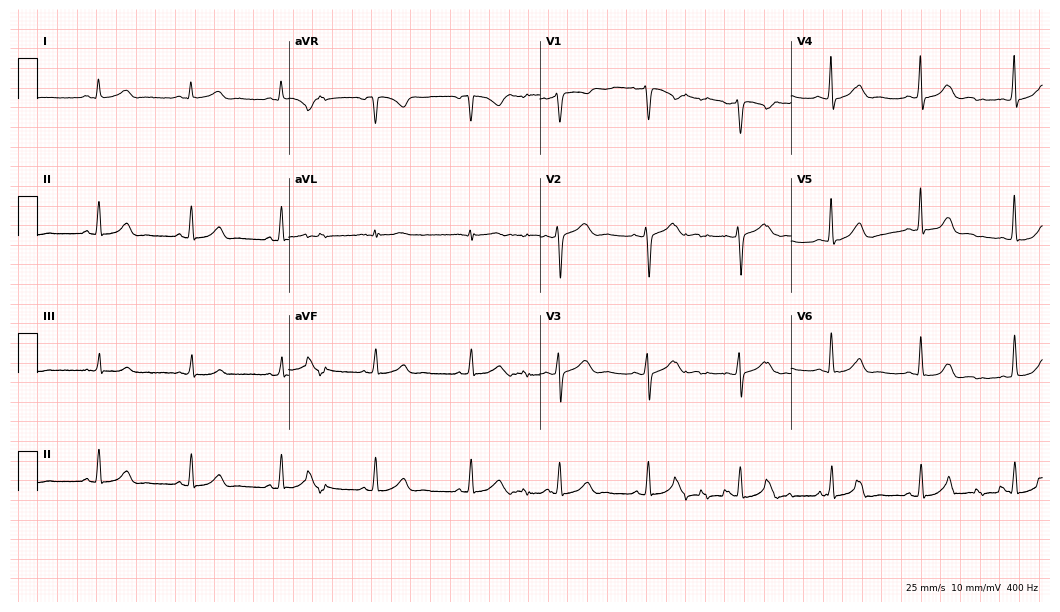
12-lead ECG (10.2-second recording at 400 Hz) from a woman, 39 years old. Screened for six findings — first-degree AV block, right bundle branch block, left bundle branch block, sinus bradycardia, atrial fibrillation, sinus tachycardia — none is recorded. Only these six findings were labelled.